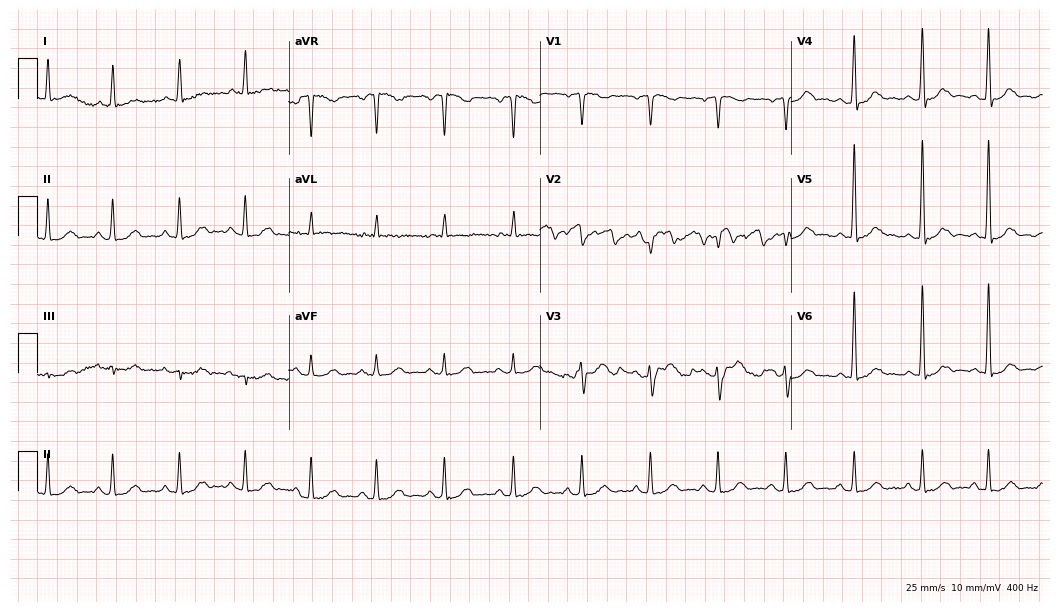
Standard 12-lead ECG recorded from a 63-year-old man. Read as a normal ECG.